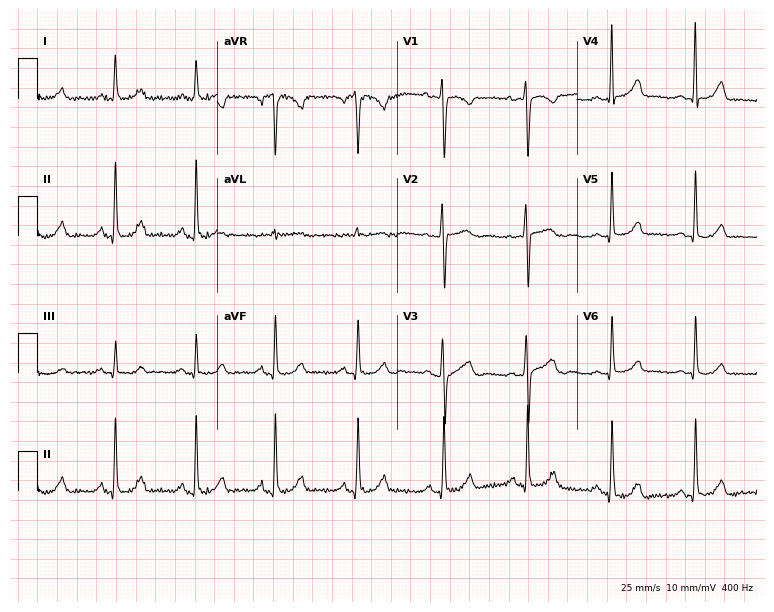
Standard 12-lead ECG recorded from a 43-year-old woman (7.3-second recording at 400 Hz). Read as a normal ECG.